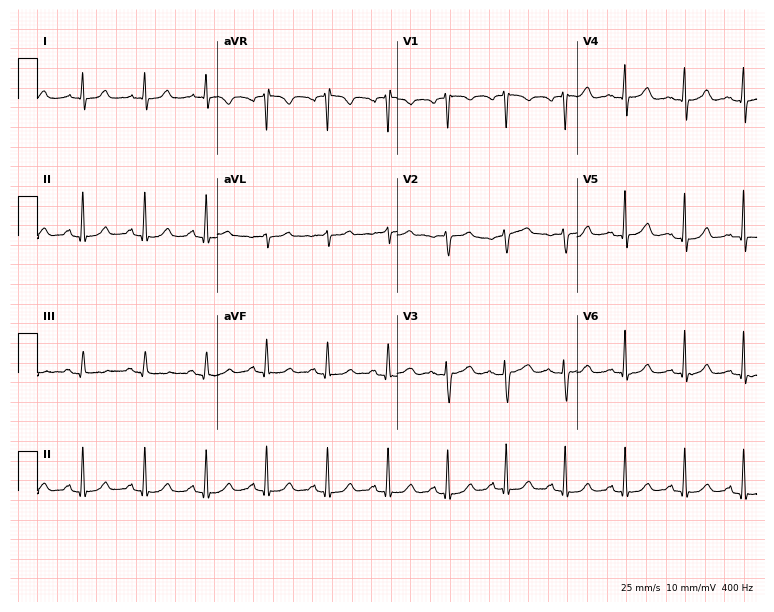
Electrocardiogram (7.3-second recording at 400 Hz), a woman, 60 years old. Overall reading on record: normal ECG.